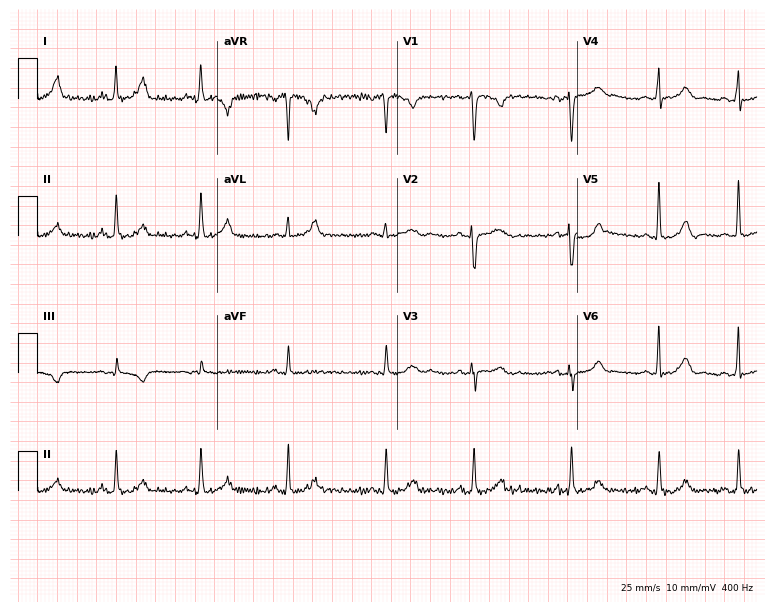
ECG (7.3-second recording at 400 Hz) — a woman, 25 years old. Screened for six findings — first-degree AV block, right bundle branch block (RBBB), left bundle branch block (LBBB), sinus bradycardia, atrial fibrillation (AF), sinus tachycardia — none is recorded. Only these six findings were labelled.